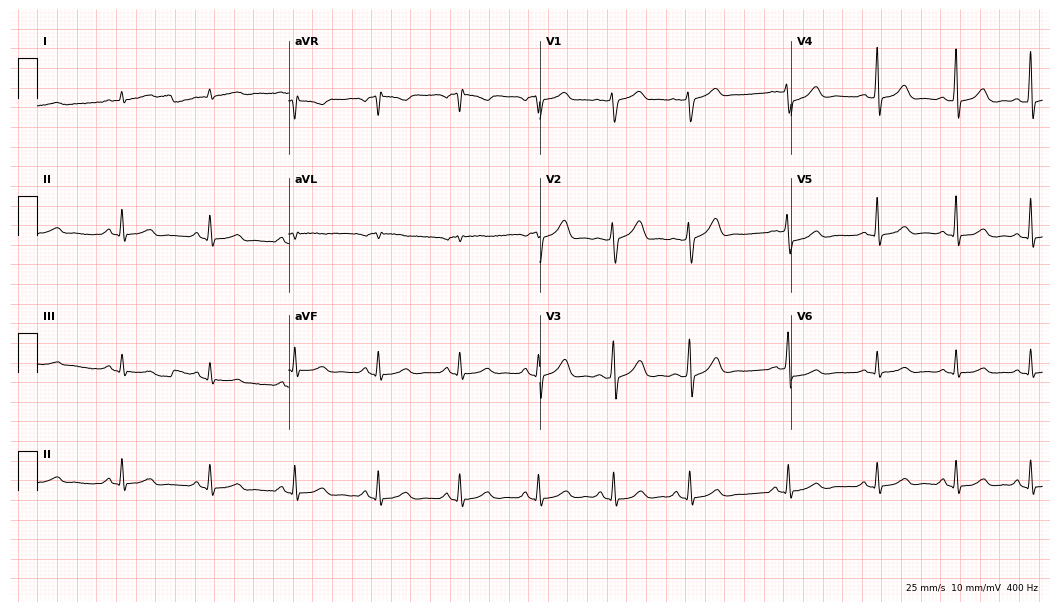
Standard 12-lead ECG recorded from a man, 42 years old. Read as a normal ECG.